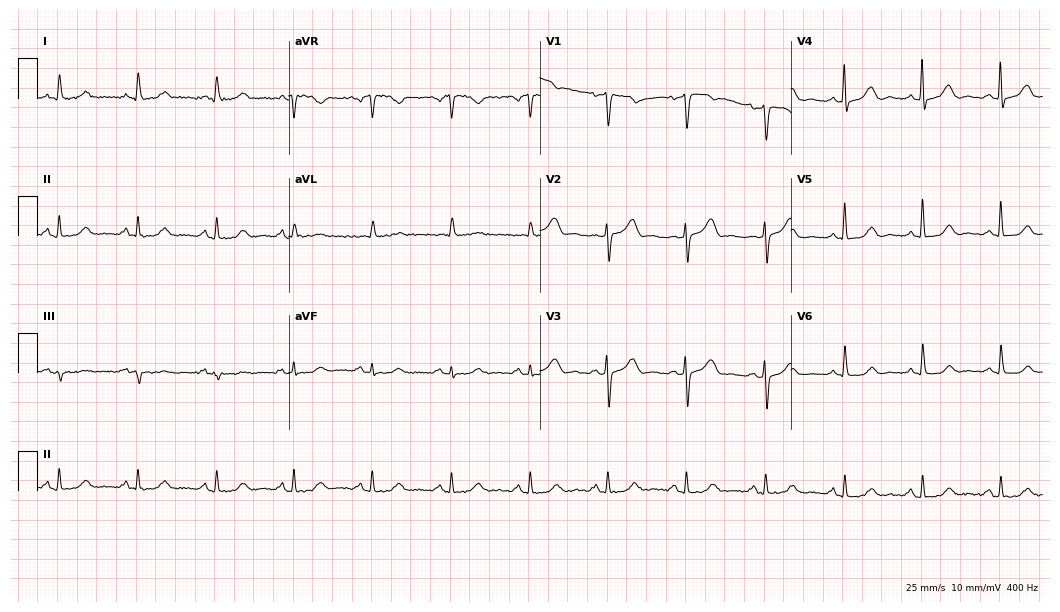
Standard 12-lead ECG recorded from a woman, 65 years old. Read as a normal ECG.